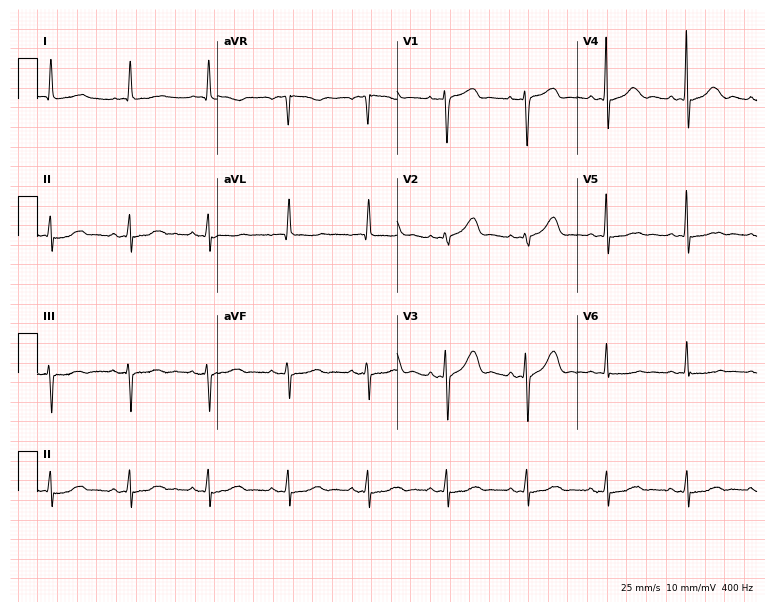
ECG (7.3-second recording at 400 Hz) — a woman, 78 years old. Screened for six findings — first-degree AV block, right bundle branch block, left bundle branch block, sinus bradycardia, atrial fibrillation, sinus tachycardia — none is recorded.